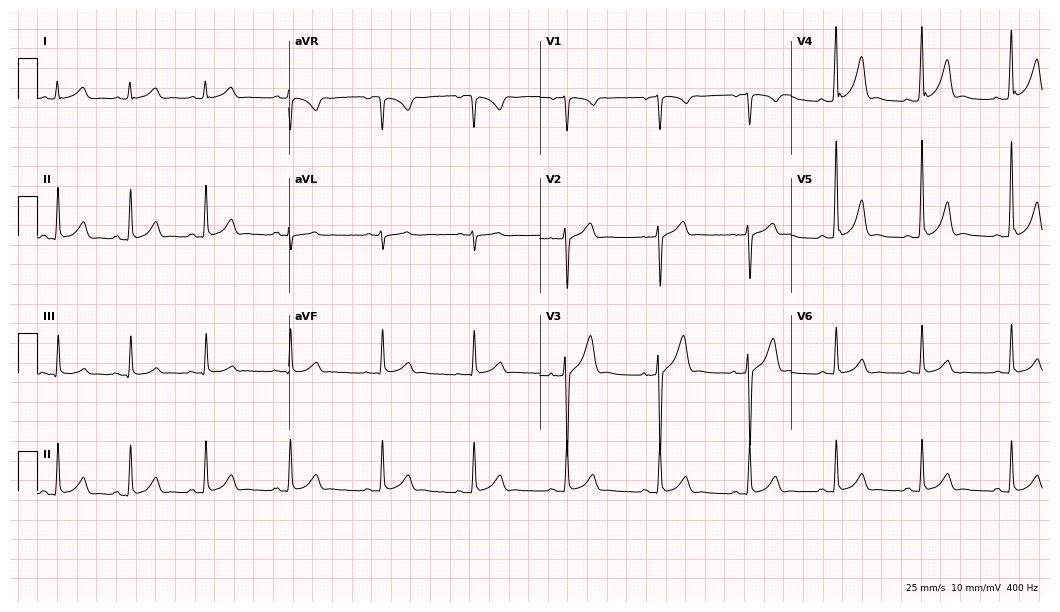
Standard 12-lead ECG recorded from a 37-year-old male patient. None of these six findings is recorded: first-degree AV block, right bundle branch block (RBBB), left bundle branch block (LBBB), sinus bradycardia, atrial fibrillation (AF), sinus tachycardia. Only these six findings were labelled.